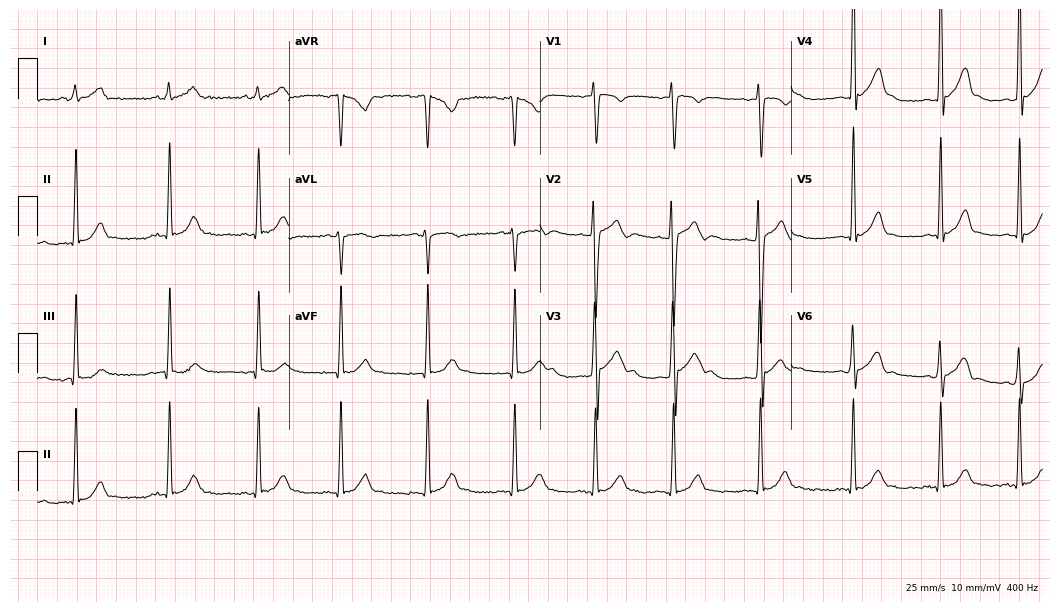
ECG — a male, 17 years old. Screened for six findings — first-degree AV block, right bundle branch block, left bundle branch block, sinus bradycardia, atrial fibrillation, sinus tachycardia — none is recorded. Findings outside these six are not listed.